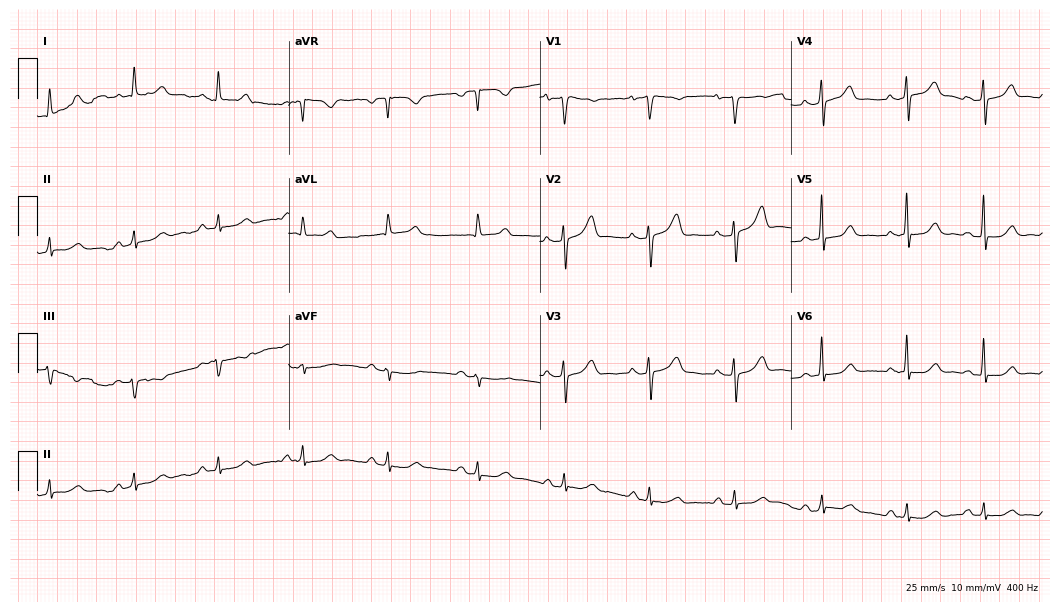
12-lead ECG from a man, 85 years old. Labelled as a normal ECG.